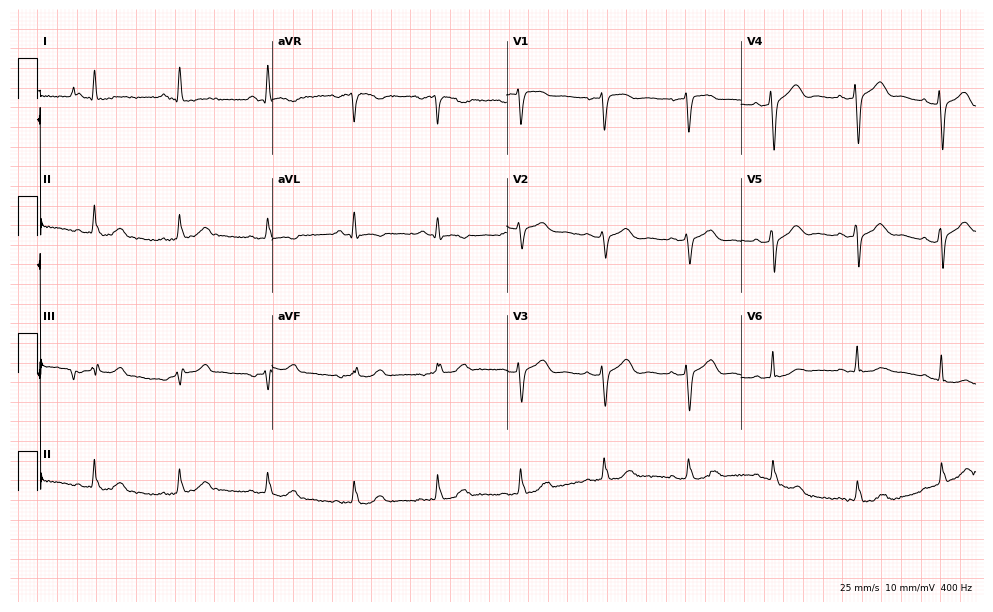
12-lead ECG (9.6-second recording at 400 Hz) from a 65-year-old female. Labelled as a normal ECG.